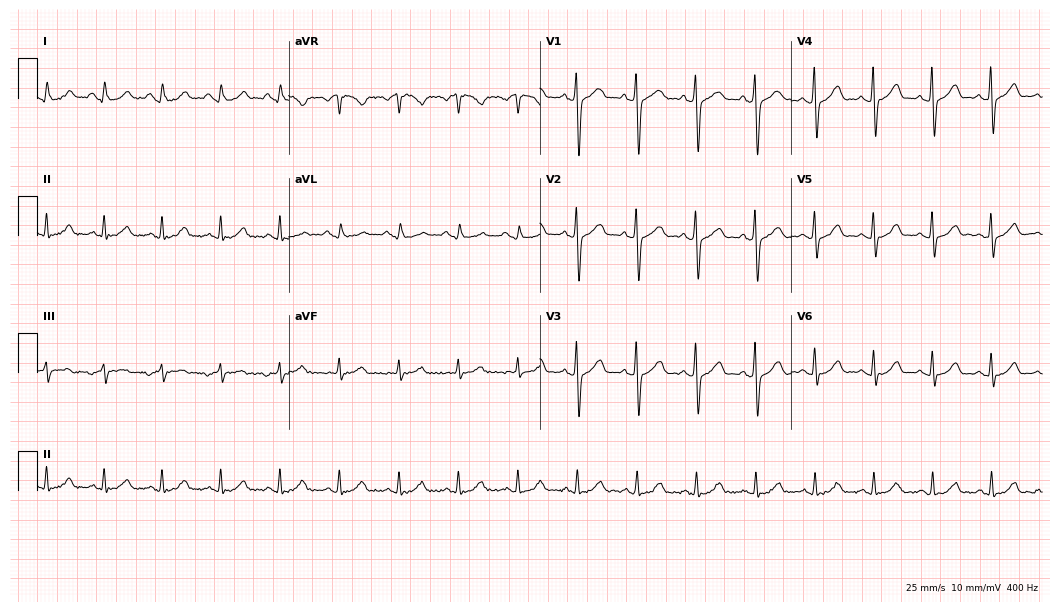
ECG (10.2-second recording at 400 Hz) — an 81-year-old male patient. Screened for six findings — first-degree AV block, right bundle branch block (RBBB), left bundle branch block (LBBB), sinus bradycardia, atrial fibrillation (AF), sinus tachycardia — none is recorded.